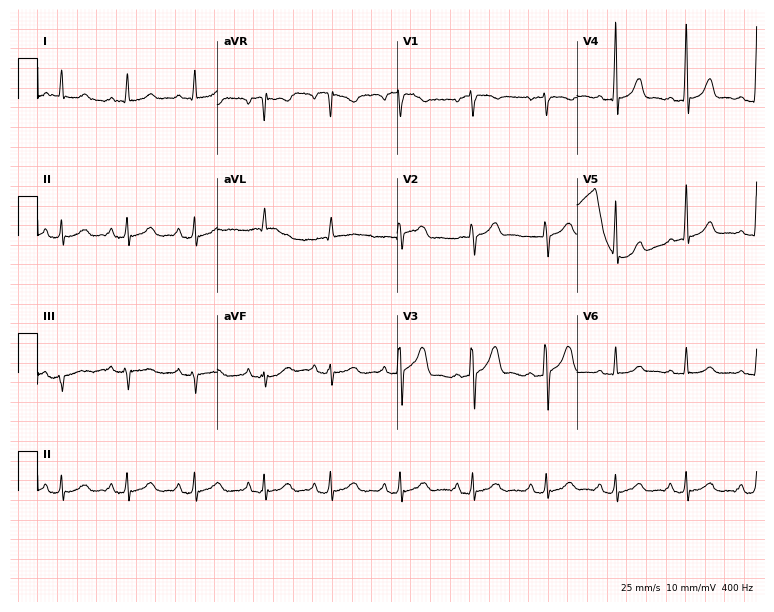
ECG — a 27-year-old woman. Screened for six findings — first-degree AV block, right bundle branch block, left bundle branch block, sinus bradycardia, atrial fibrillation, sinus tachycardia — none is recorded. Findings outside these six are not listed.